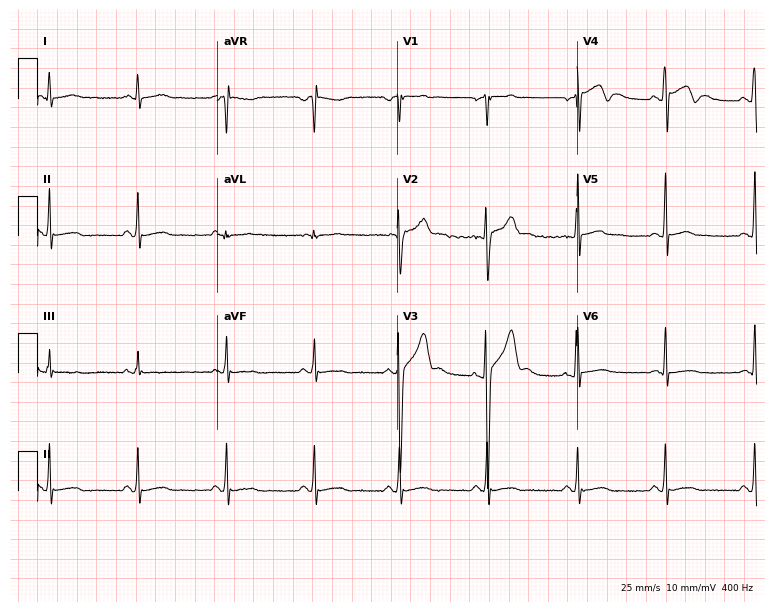
12-lead ECG from a man, 18 years old. Recorded interpretation: within normal limits.